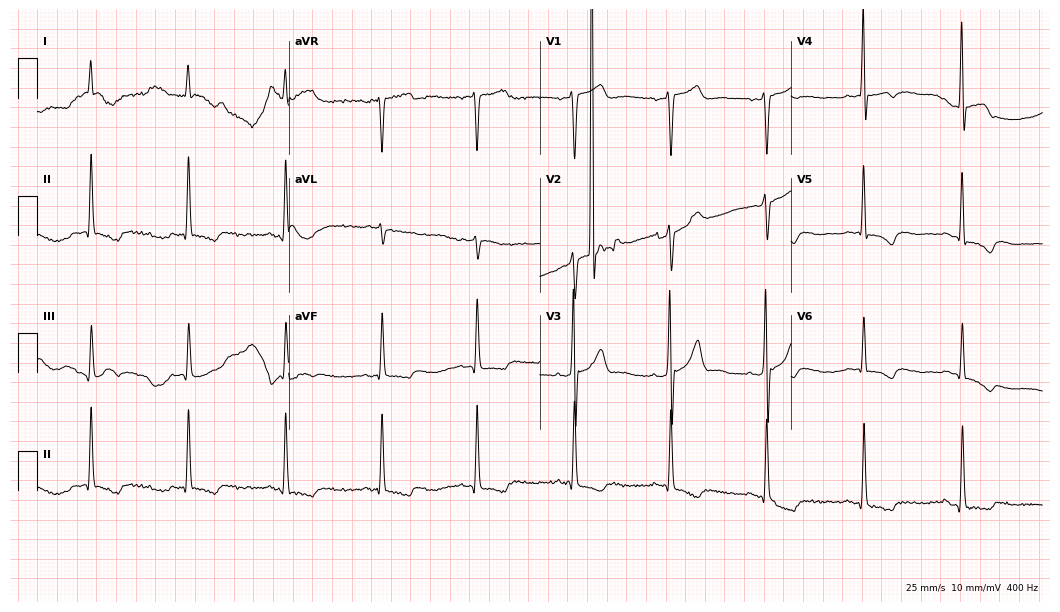
12-lead ECG from a man, 82 years old. No first-degree AV block, right bundle branch block, left bundle branch block, sinus bradycardia, atrial fibrillation or sinus tachycardia recorded for this tracing.